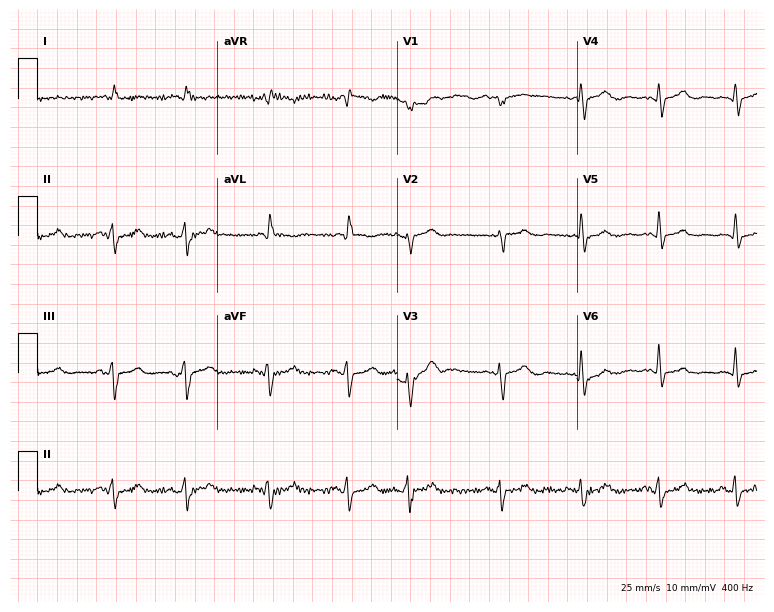
12-lead ECG from a male, 68 years old. No first-degree AV block, right bundle branch block, left bundle branch block, sinus bradycardia, atrial fibrillation or sinus tachycardia recorded for this tracing.